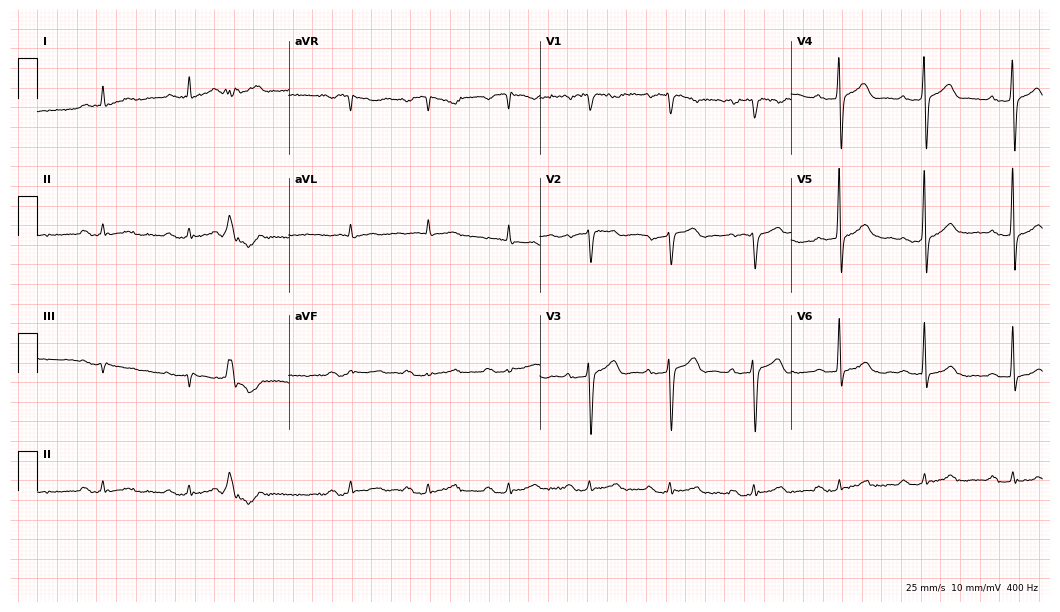
Electrocardiogram (10.2-second recording at 400 Hz), a 76-year-old man. Of the six screened findings (first-degree AV block, right bundle branch block (RBBB), left bundle branch block (LBBB), sinus bradycardia, atrial fibrillation (AF), sinus tachycardia), none is recorded.